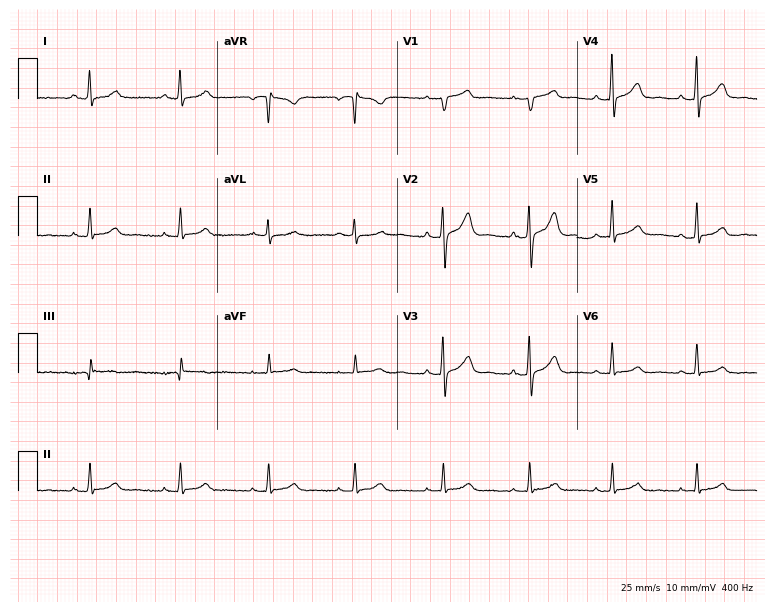
ECG (7.3-second recording at 400 Hz) — a 47-year-old male. Labelled as a normal ECG.